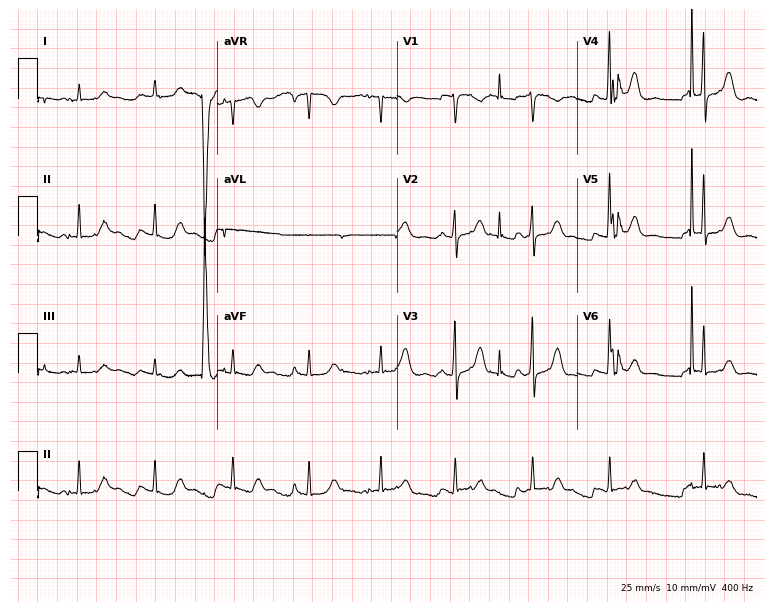
Standard 12-lead ECG recorded from a female, 68 years old. None of these six findings is recorded: first-degree AV block, right bundle branch block (RBBB), left bundle branch block (LBBB), sinus bradycardia, atrial fibrillation (AF), sinus tachycardia.